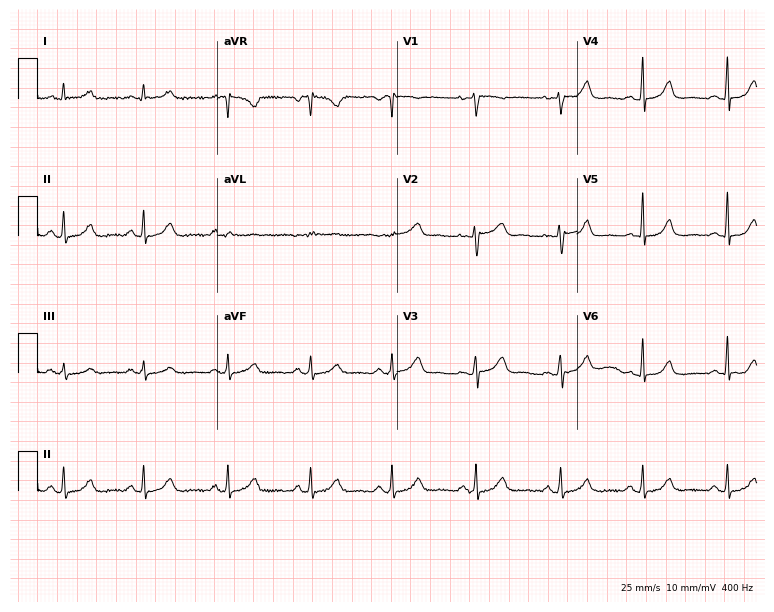
Standard 12-lead ECG recorded from a 45-year-old female patient. None of these six findings is recorded: first-degree AV block, right bundle branch block (RBBB), left bundle branch block (LBBB), sinus bradycardia, atrial fibrillation (AF), sinus tachycardia.